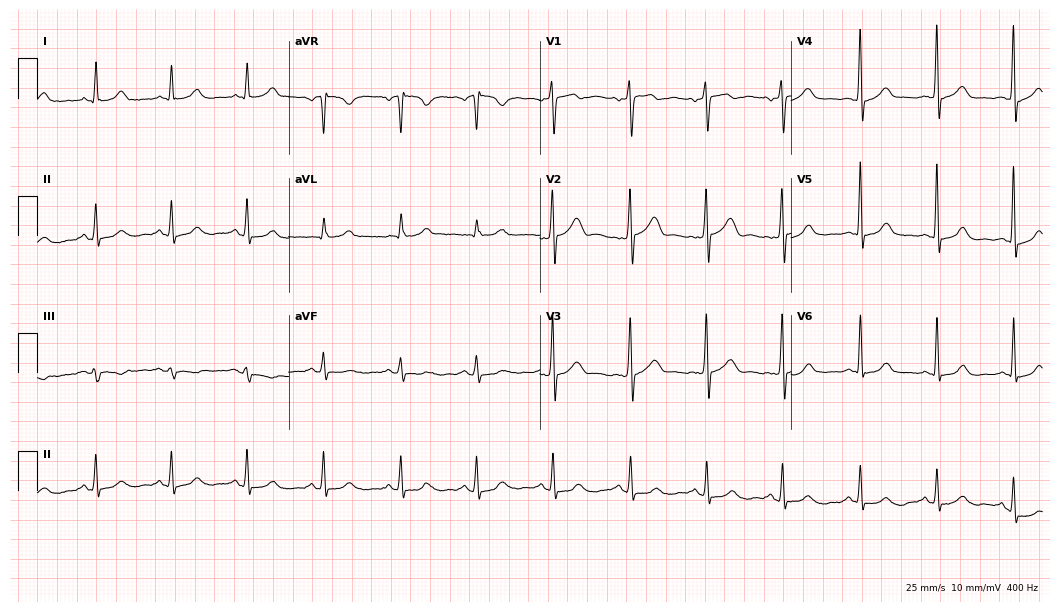
ECG — a female patient, 59 years old. Screened for six findings — first-degree AV block, right bundle branch block (RBBB), left bundle branch block (LBBB), sinus bradycardia, atrial fibrillation (AF), sinus tachycardia — none is recorded. Other findings, if any, are not listed.